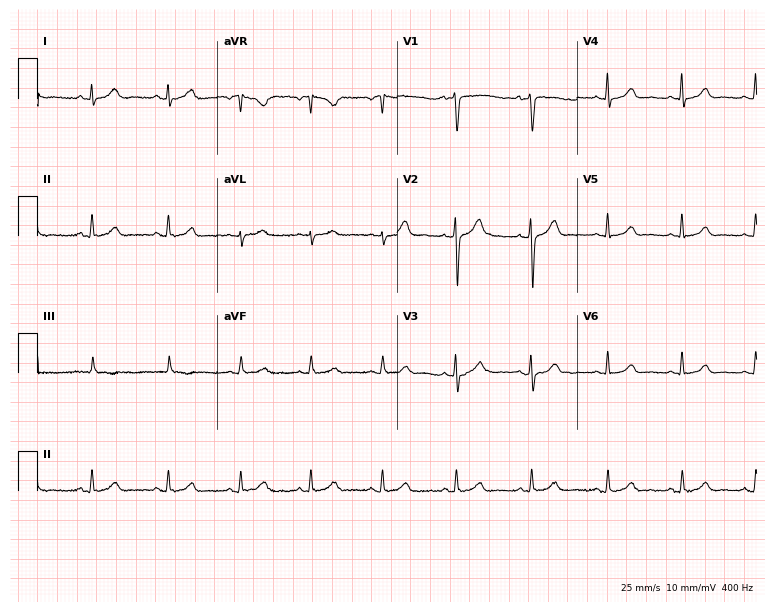
Resting 12-lead electrocardiogram. Patient: a female, 37 years old. None of these six findings is recorded: first-degree AV block, right bundle branch block, left bundle branch block, sinus bradycardia, atrial fibrillation, sinus tachycardia.